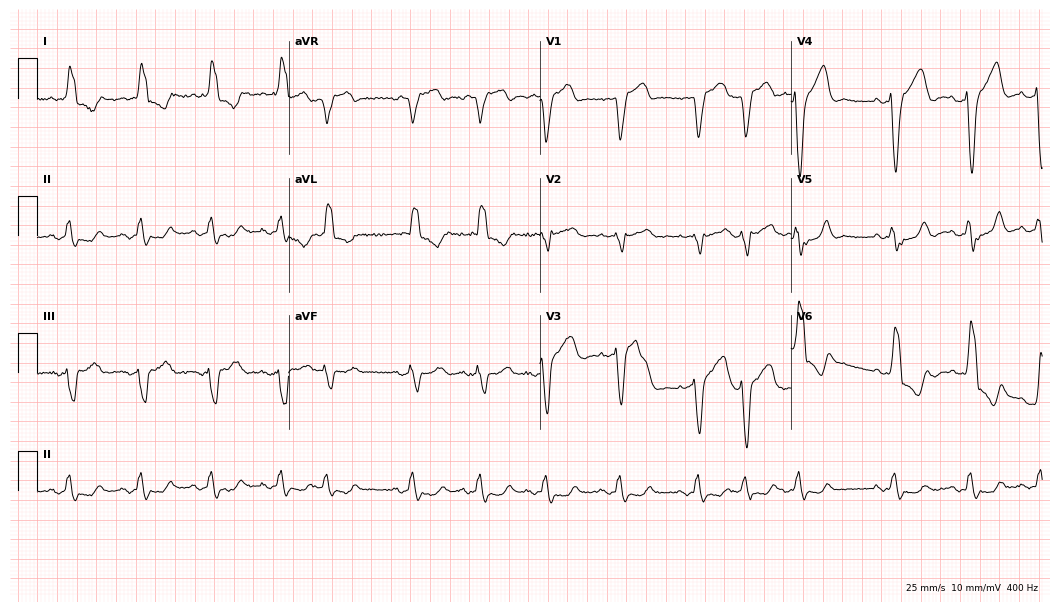
Standard 12-lead ECG recorded from an 84-year-old woman (10.2-second recording at 400 Hz). The tracing shows left bundle branch block.